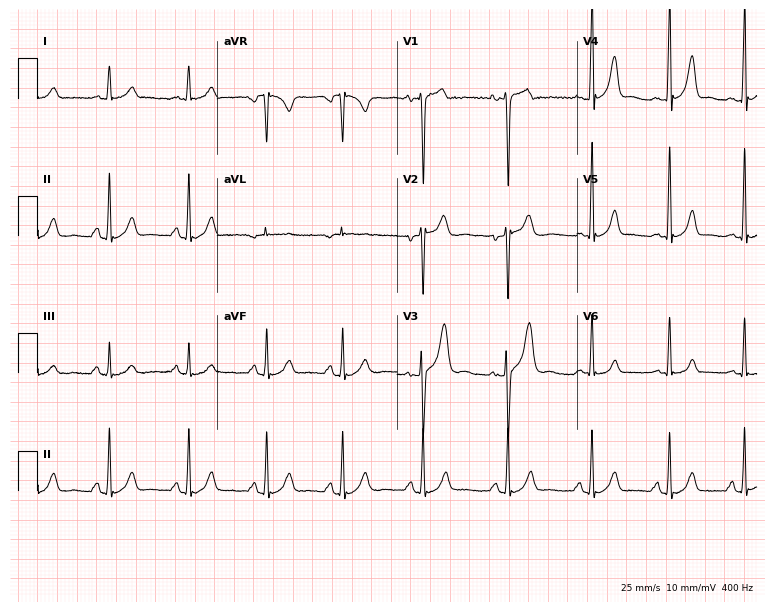
ECG (7.3-second recording at 400 Hz) — an 18-year-old male. Labelled as a normal ECG.